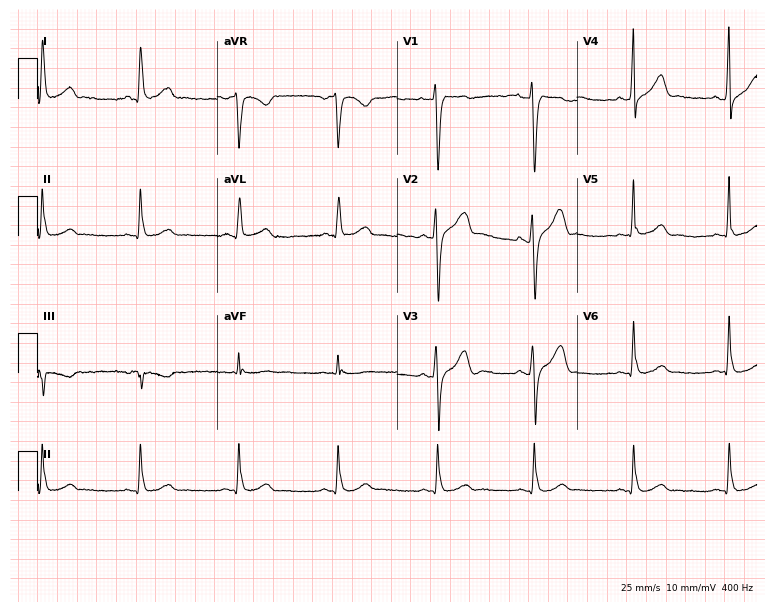
12-lead ECG from a male patient, 39 years old. Labelled as a normal ECG.